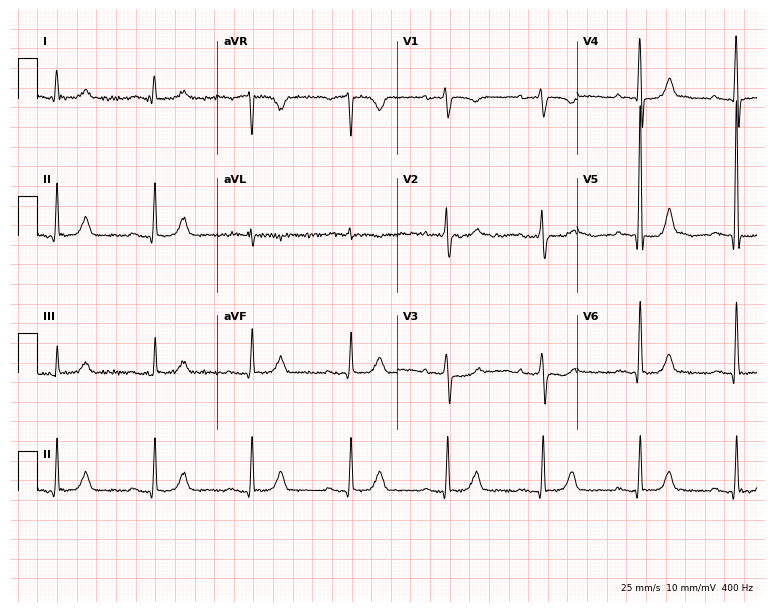
12-lead ECG from a 77-year-old female patient (7.3-second recording at 400 Hz). No first-degree AV block, right bundle branch block, left bundle branch block, sinus bradycardia, atrial fibrillation or sinus tachycardia recorded for this tracing. Other findings, if any, are not listed.